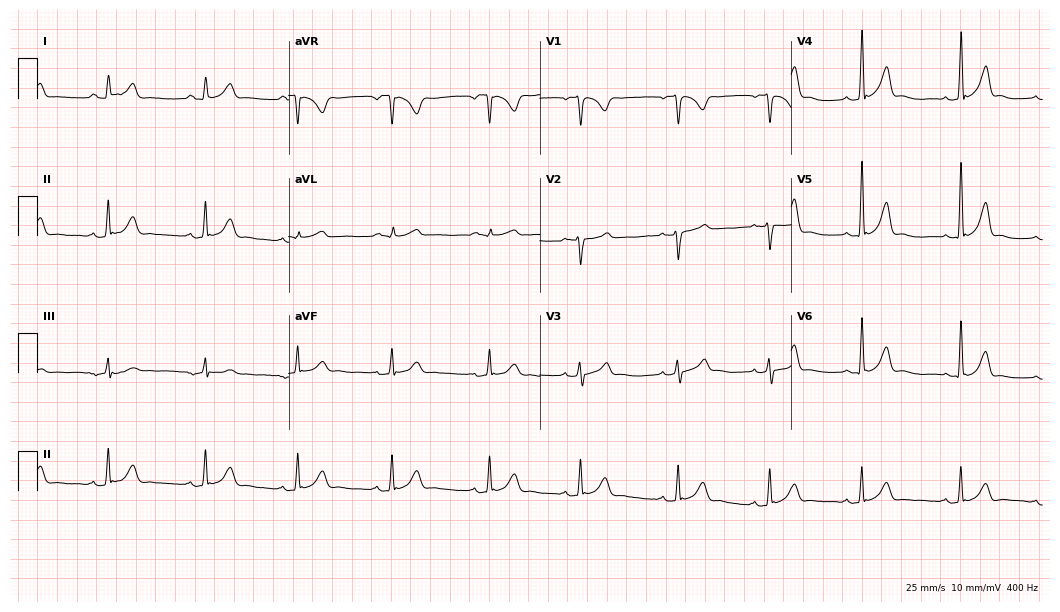
12-lead ECG from a woman, 18 years old. Recorded interpretation: within normal limits.